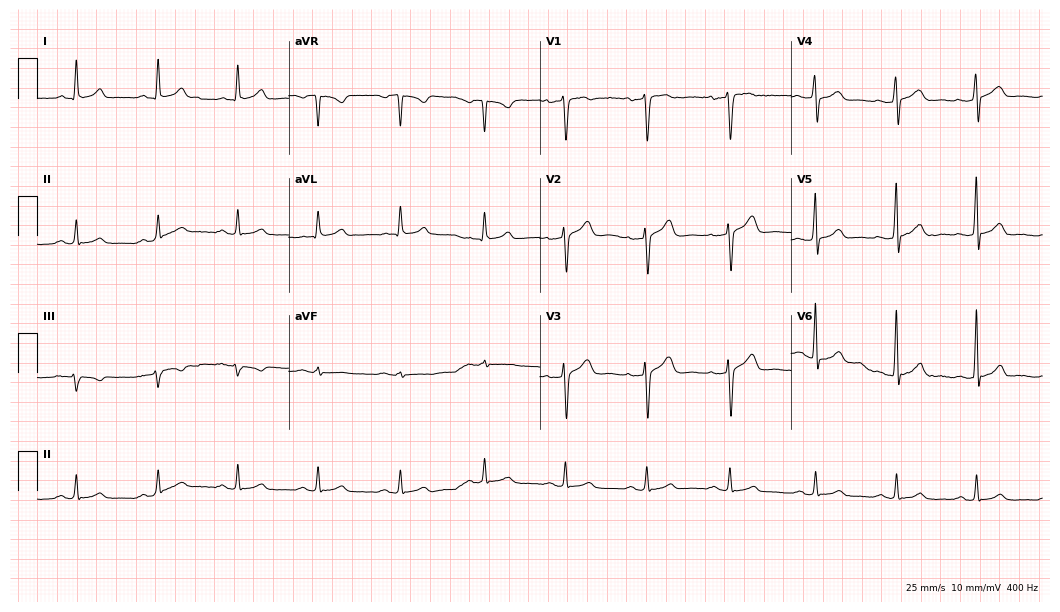
ECG — a 40-year-old man. Labelled as a normal ECG.